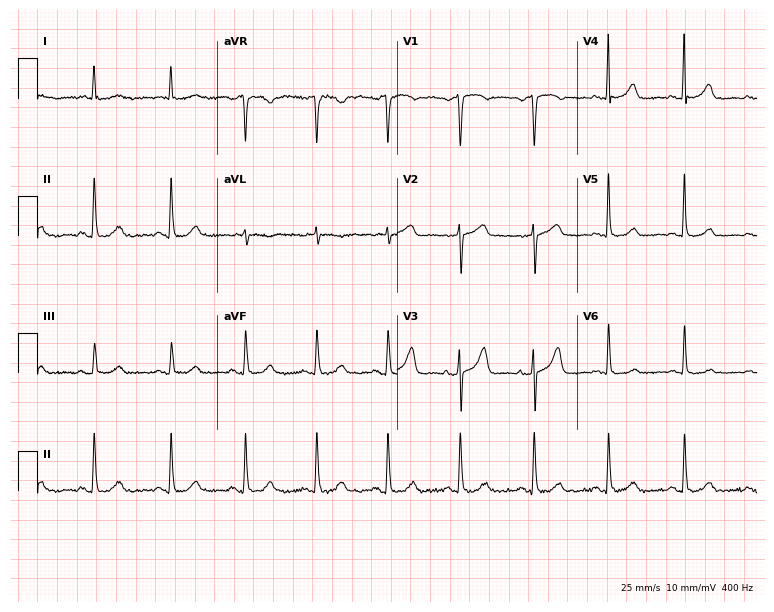
Electrocardiogram (7.3-second recording at 400 Hz), an 83-year-old female patient. Overall reading on record: normal ECG.